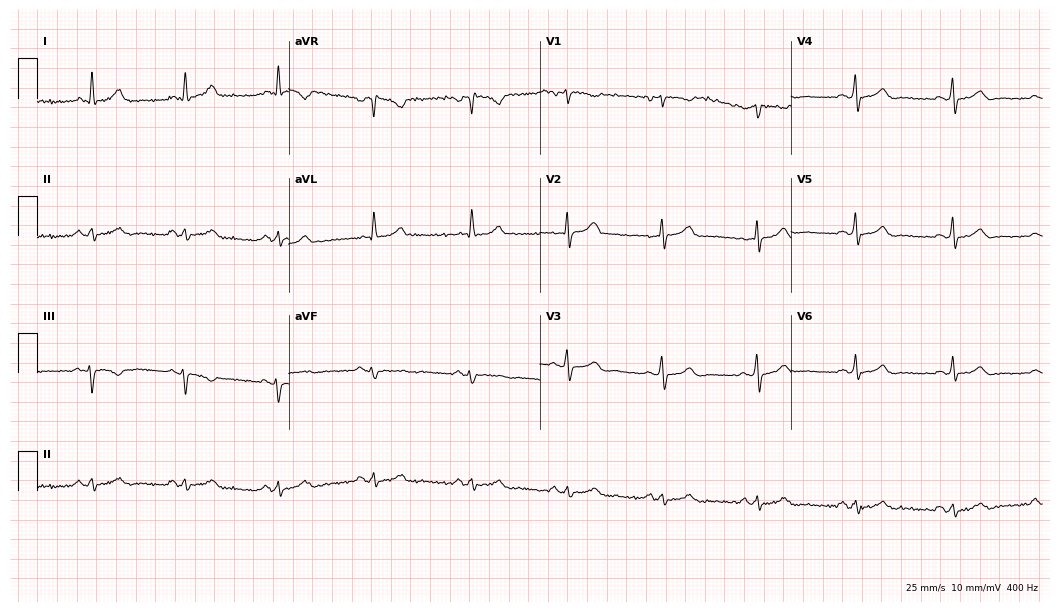
12-lead ECG from a man, 57 years old (10.2-second recording at 400 Hz). No first-degree AV block, right bundle branch block, left bundle branch block, sinus bradycardia, atrial fibrillation or sinus tachycardia recorded for this tracing.